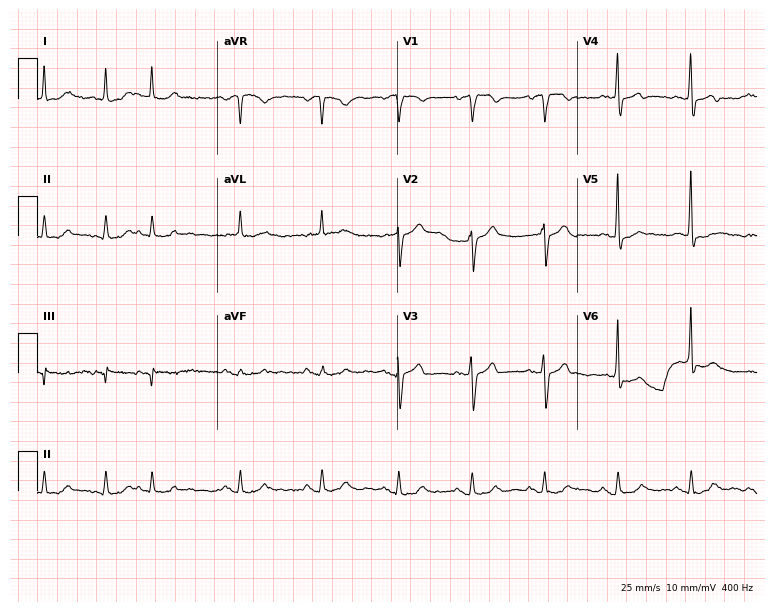
12-lead ECG from a male patient, 84 years old. No first-degree AV block, right bundle branch block (RBBB), left bundle branch block (LBBB), sinus bradycardia, atrial fibrillation (AF) or sinus tachycardia recorded for this tracing. Other findings, if any, are not listed.